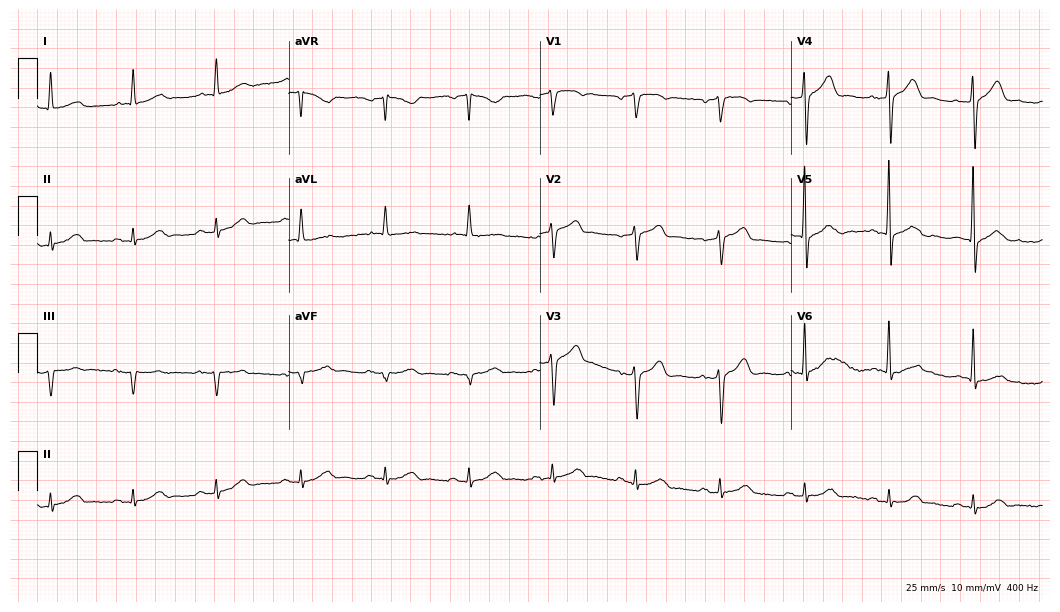
12-lead ECG from a 79-year-old male patient. Labelled as a normal ECG.